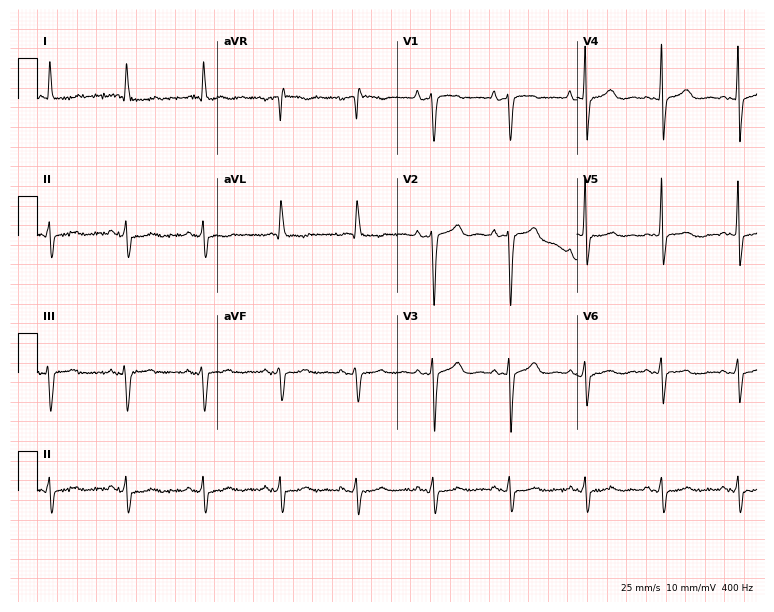
ECG (7.3-second recording at 400 Hz) — a female, 81 years old. Screened for six findings — first-degree AV block, right bundle branch block, left bundle branch block, sinus bradycardia, atrial fibrillation, sinus tachycardia — none is recorded.